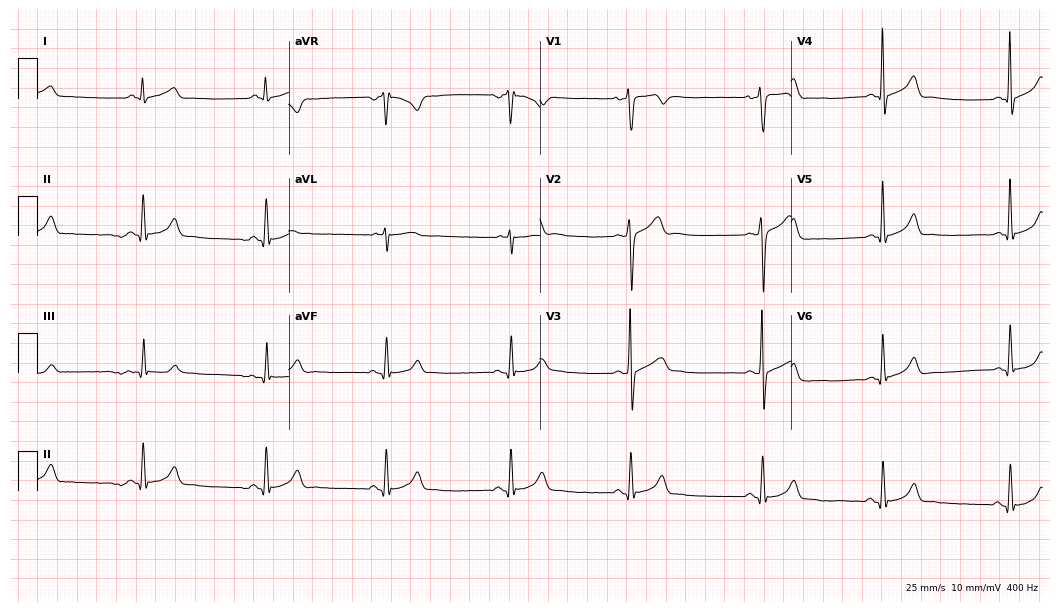
ECG (10.2-second recording at 400 Hz) — a 23-year-old man. Findings include sinus bradycardia (a sinus rate of 50 beats per minute or less).